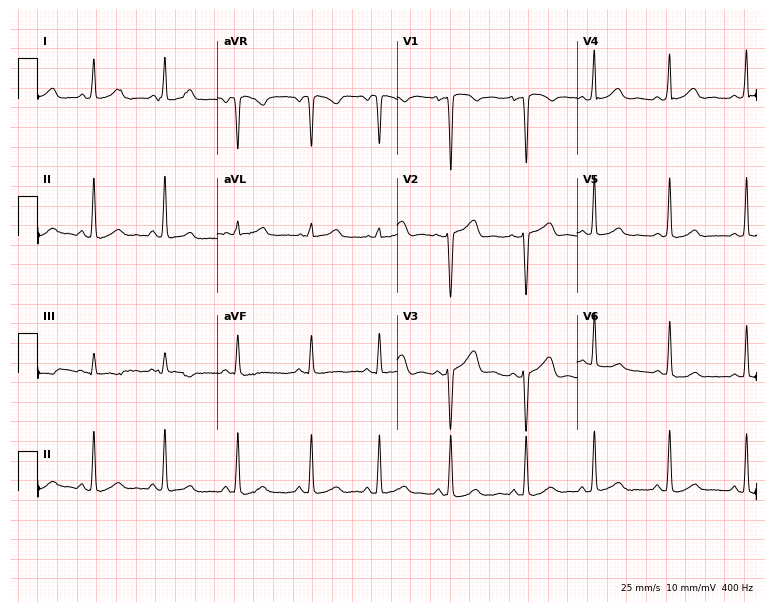
Standard 12-lead ECG recorded from a woman, 22 years old. None of these six findings is recorded: first-degree AV block, right bundle branch block (RBBB), left bundle branch block (LBBB), sinus bradycardia, atrial fibrillation (AF), sinus tachycardia.